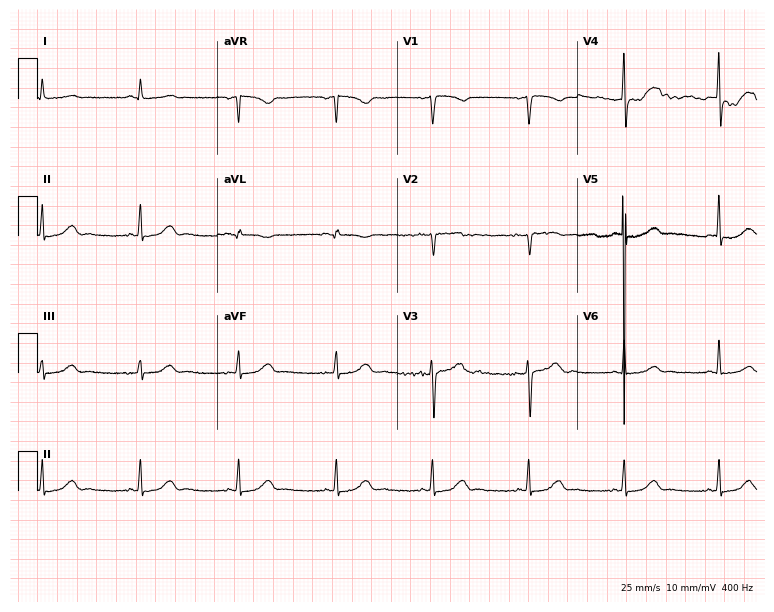
ECG — a female, 46 years old. Labelled as a normal ECG.